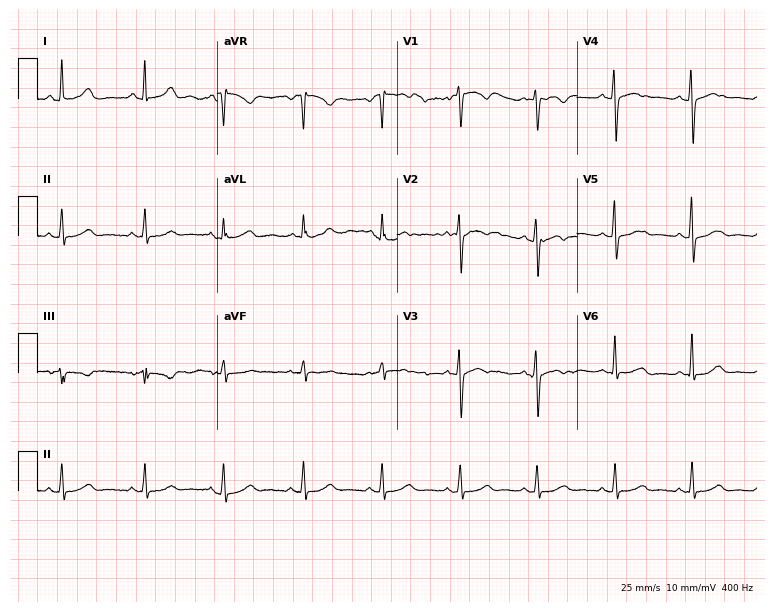
Resting 12-lead electrocardiogram. Patient: a female, 35 years old. Read as a normal ECG.